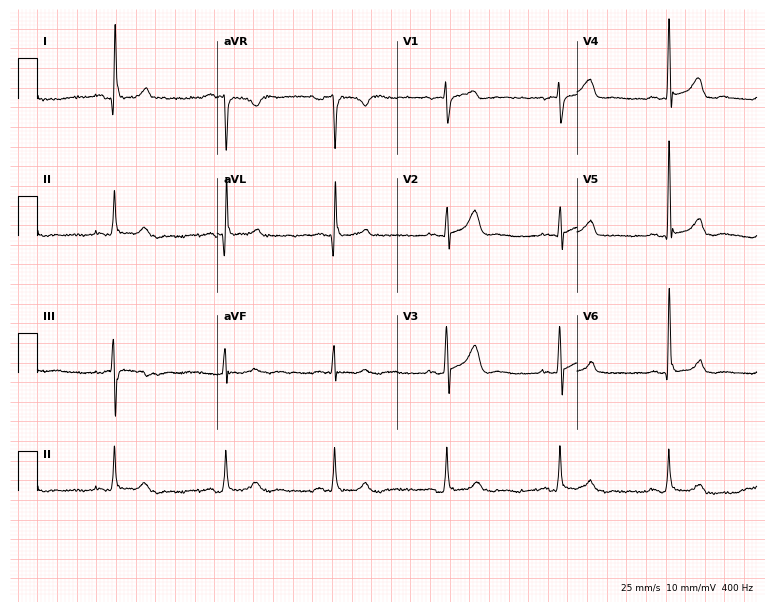
12-lead ECG from a female, 55 years old. Recorded interpretation: within normal limits.